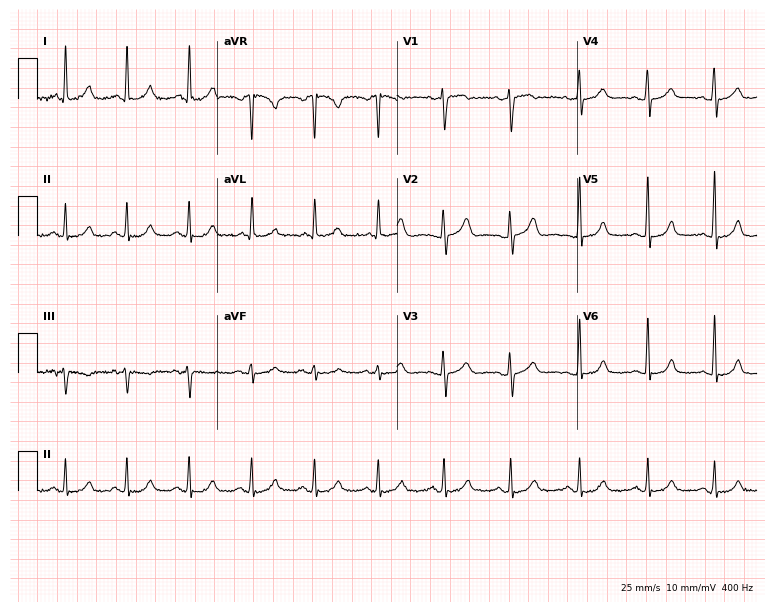
12-lead ECG (7.3-second recording at 400 Hz) from a 47-year-old woman. Labelled as a normal ECG.